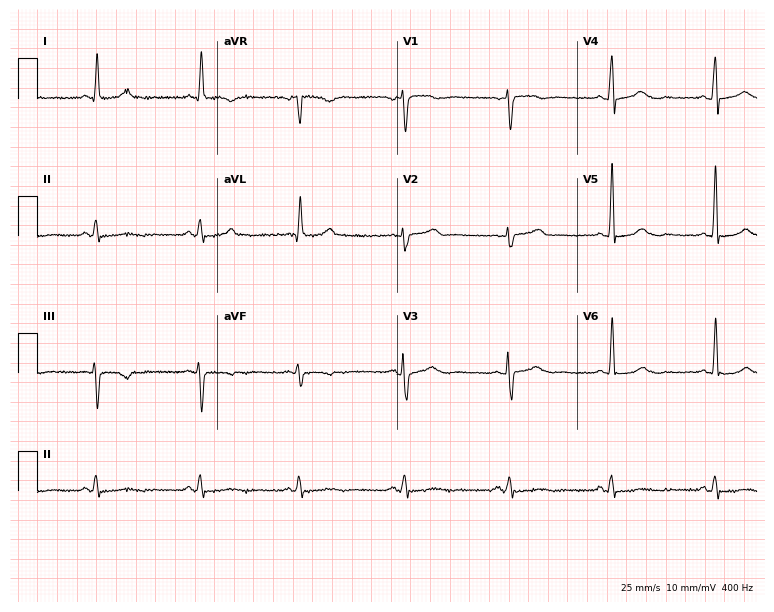
12-lead ECG from a 69-year-old female patient. No first-degree AV block, right bundle branch block, left bundle branch block, sinus bradycardia, atrial fibrillation or sinus tachycardia recorded for this tracing. Findings outside these six are not listed.